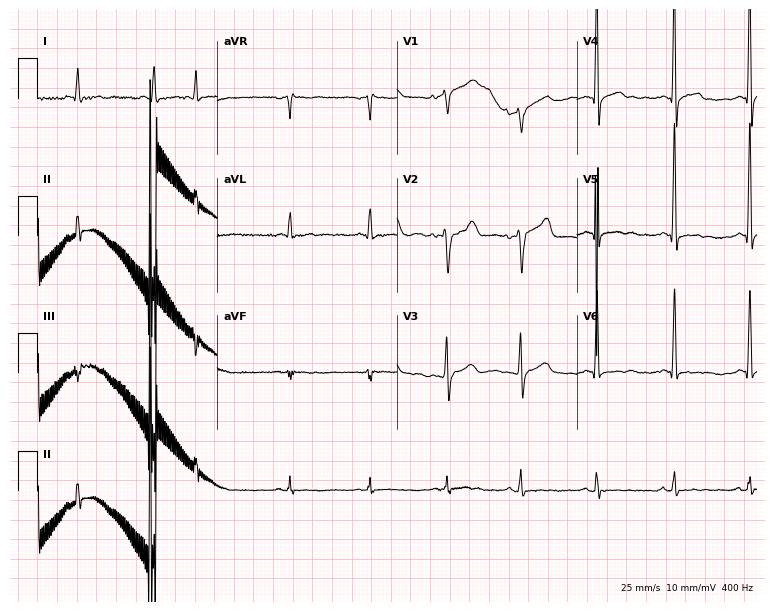
Electrocardiogram (7.3-second recording at 400 Hz), a 73-year-old female. Overall reading on record: normal ECG.